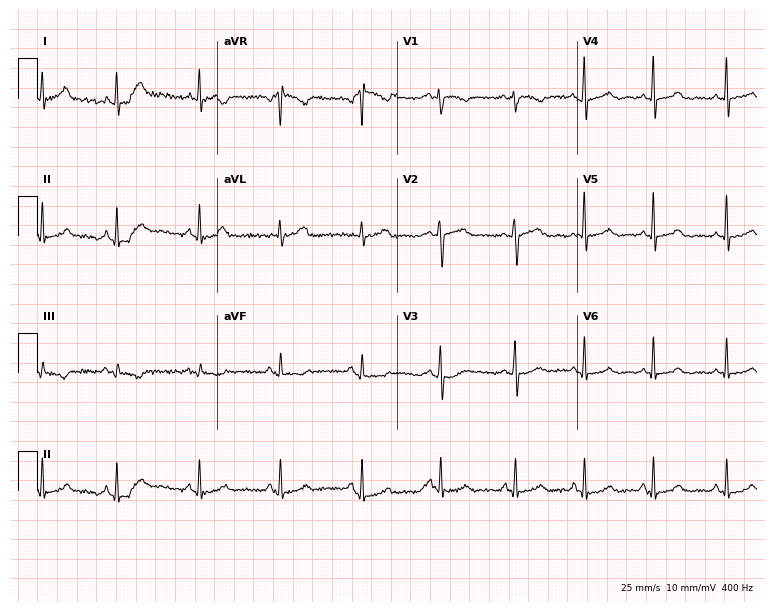
Resting 12-lead electrocardiogram. Patient: a 51-year-old female. Read as a normal ECG.